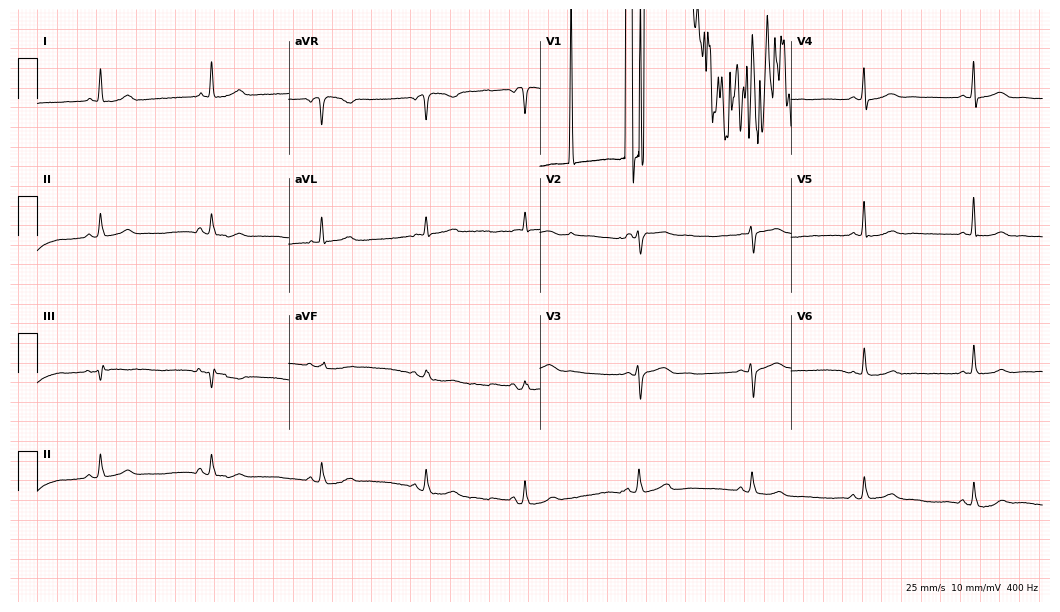
12-lead ECG from a female patient, 63 years old (10.2-second recording at 400 Hz). No first-degree AV block, right bundle branch block, left bundle branch block, sinus bradycardia, atrial fibrillation or sinus tachycardia recorded for this tracing.